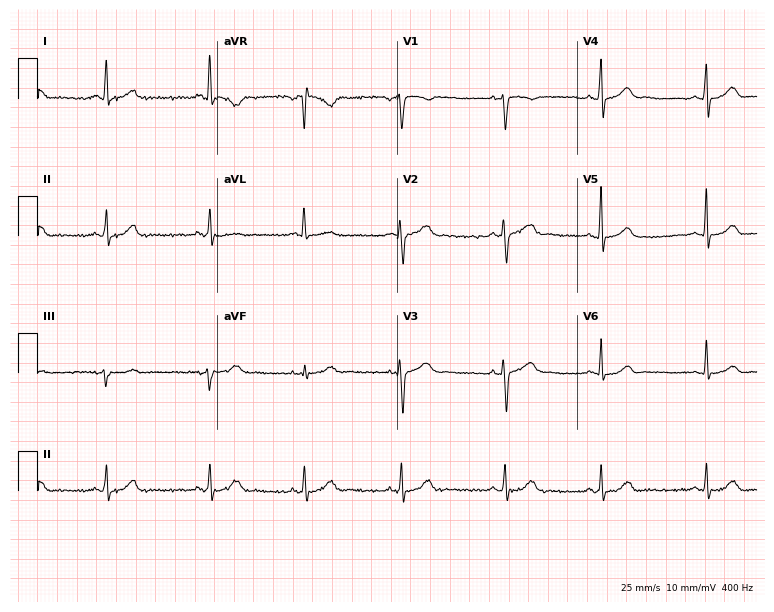
Electrocardiogram (7.3-second recording at 400 Hz), a female patient, 25 years old. Overall reading on record: normal ECG.